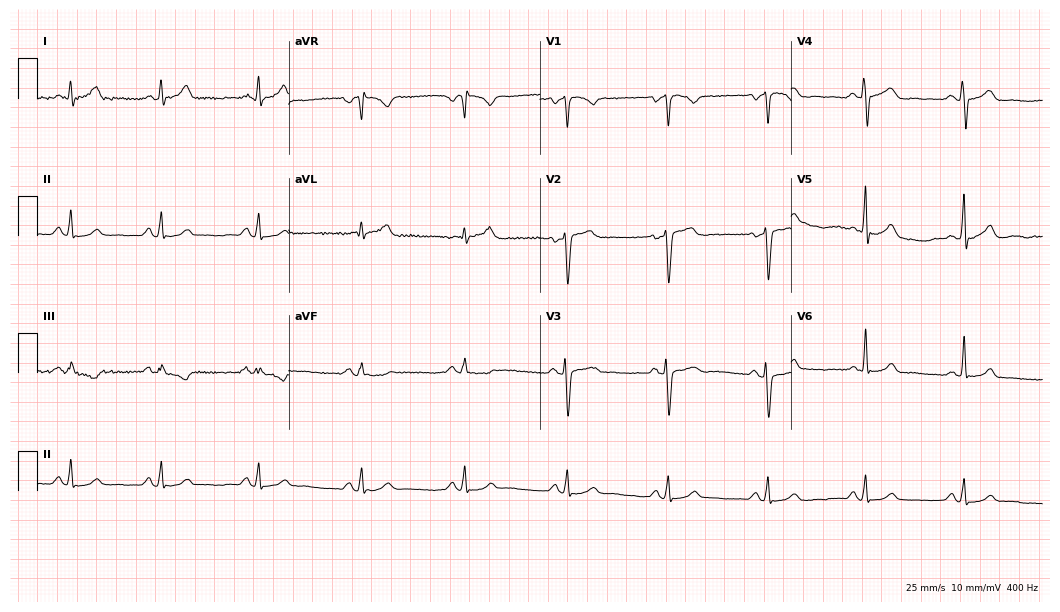
Electrocardiogram, a 50-year-old male patient. Overall reading on record: normal ECG.